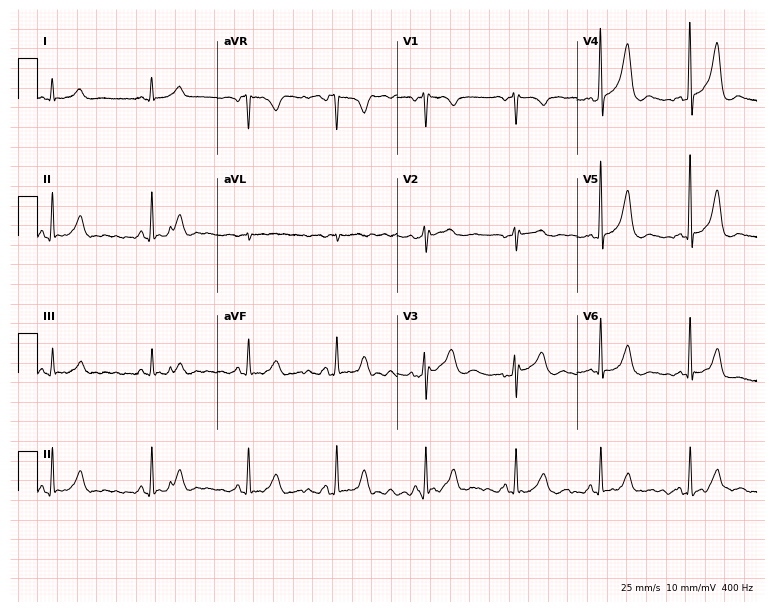
Standard 12-lead ECG recorded from a male, 53 years old (7.3-second recording at 400 Hz). Read as a normal ECG.